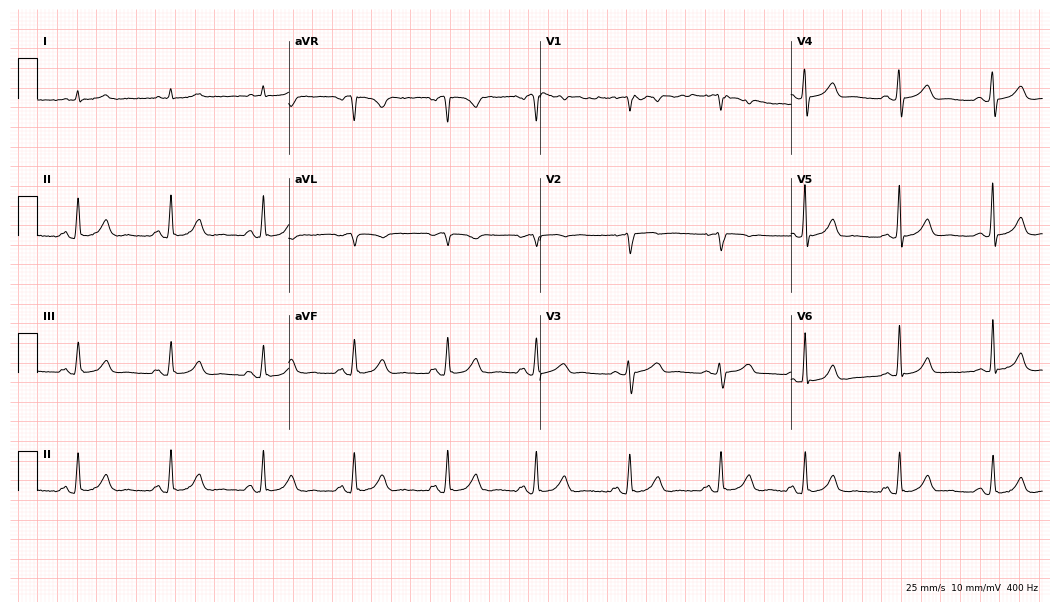
ECG (10.2-second recording at 400 Hz) — a 66-year-old male. Labelled as a normal ECG.